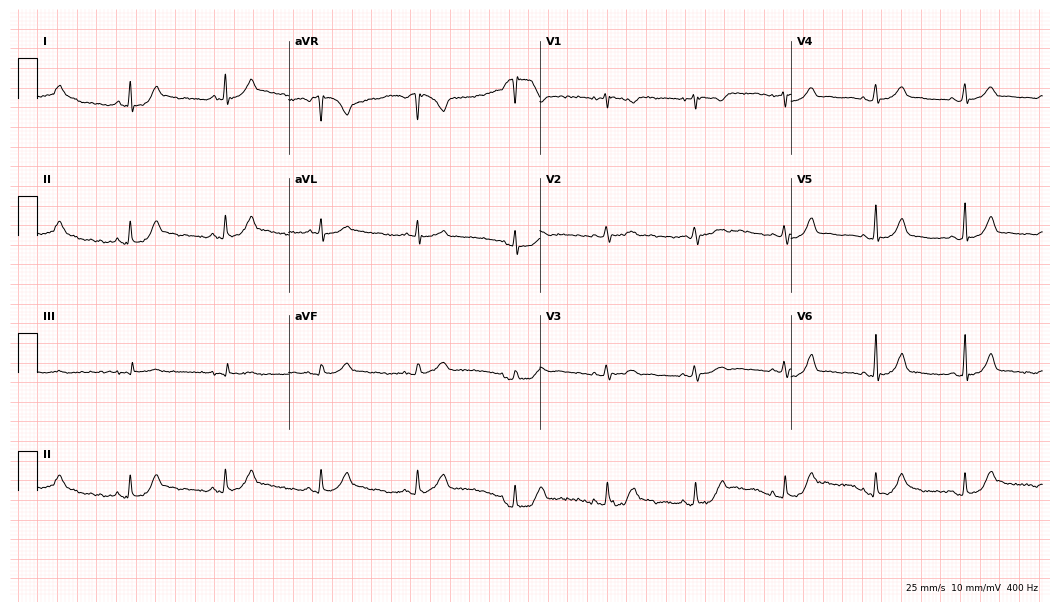
Electrocardiogram (10.2-second recording at 400 Hz), a 57-year-old female patient. Of the six screened findings (first-degree AV block, right bundle branch block, left bundle branch block, sinus bradycardia, atrial fibrillation, sinus tachycardia), none is recorded.